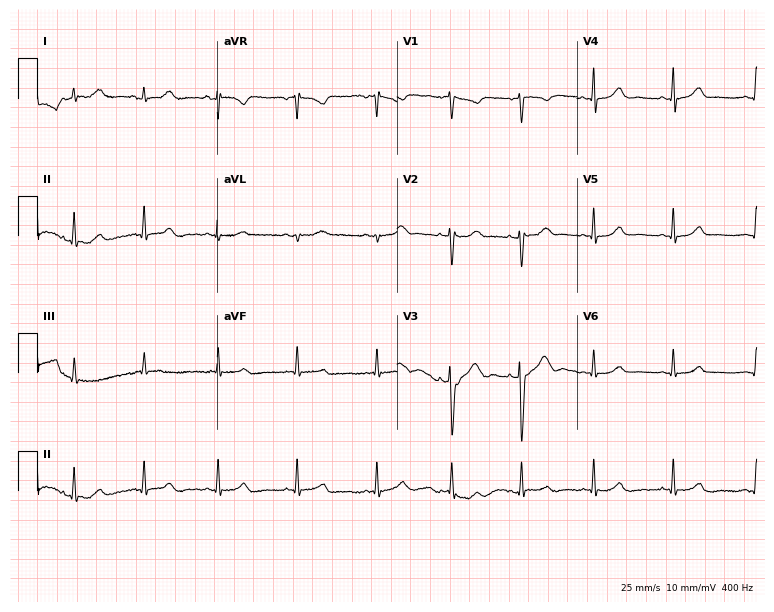
Electrocardiogram, a 25-year-old woman. Of the six screened findings (first-degree AV block, right bundle branch block (RBBB), left bundle branch block (LBBB), sinus bradycardia, atrial fibrillation (AF), sinus tachycardia), none is recorded. Only these six findings were labelled.